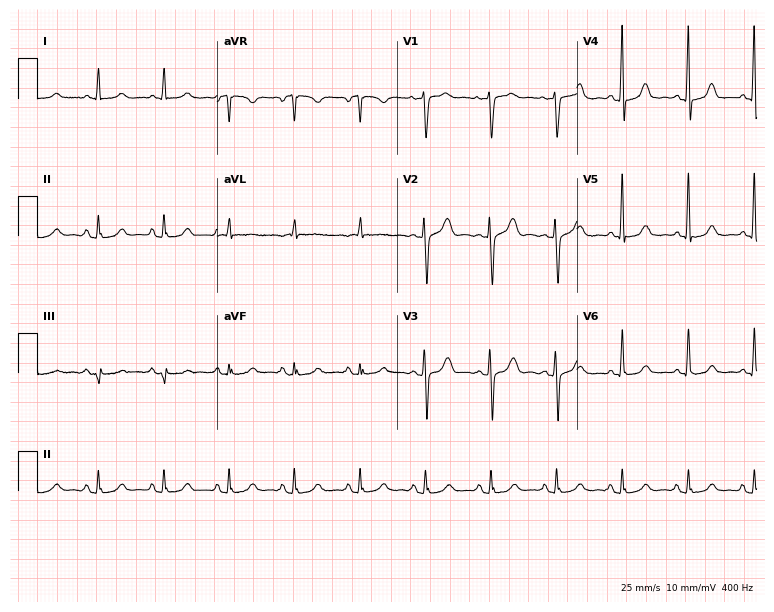
ECG (7.3-second recording at 400 Hz) — a female patient, 79 years old. Screened for six findings — first-degree AV block, right bundle branch block, left bundle branch block, sinus bradycardia, atrial fibrillation, sinus tachycardia — none is recorded.